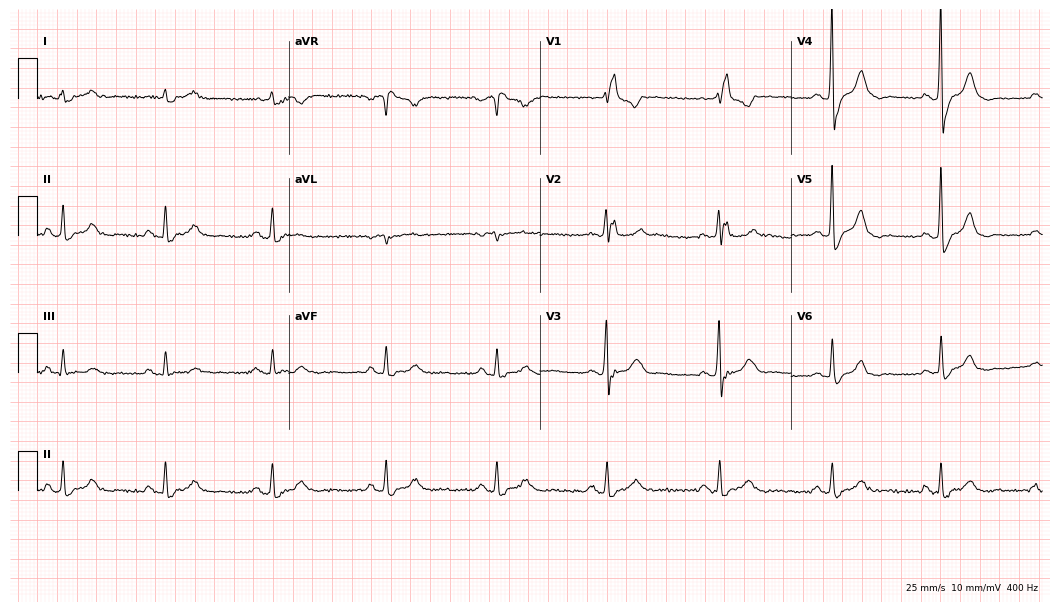
Standard 12-lead ECG recorded from a man, 82 years old. The tracing shows right bundle branch block.